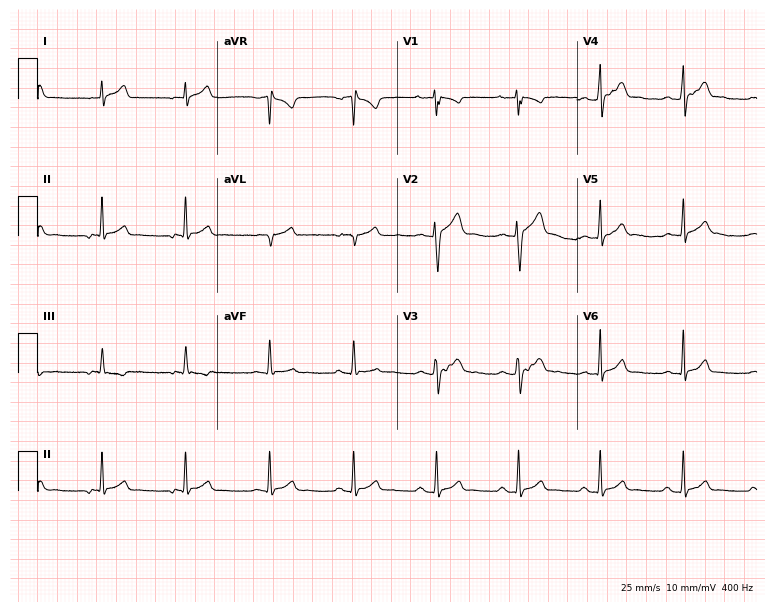
12-lead ECG from an 18-year-old man. Labelled as a normal ECG.